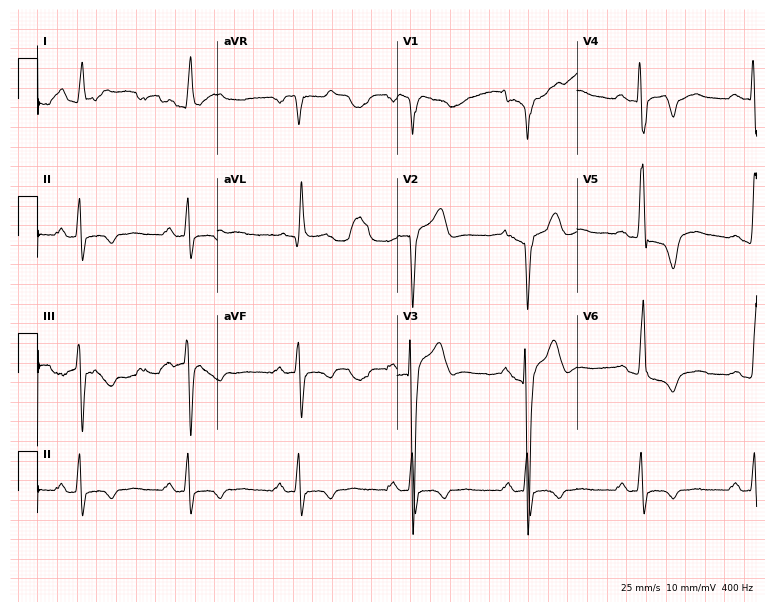
ECG (7.3-second recording at 400 Hz) — a 52-year-old male patient. Screened for six findings — first-degree AV block, right bundle branch block, left bundle branch block, sinus bradycardia, atrial fibrillation, sinus tachycardia — none is recorded.